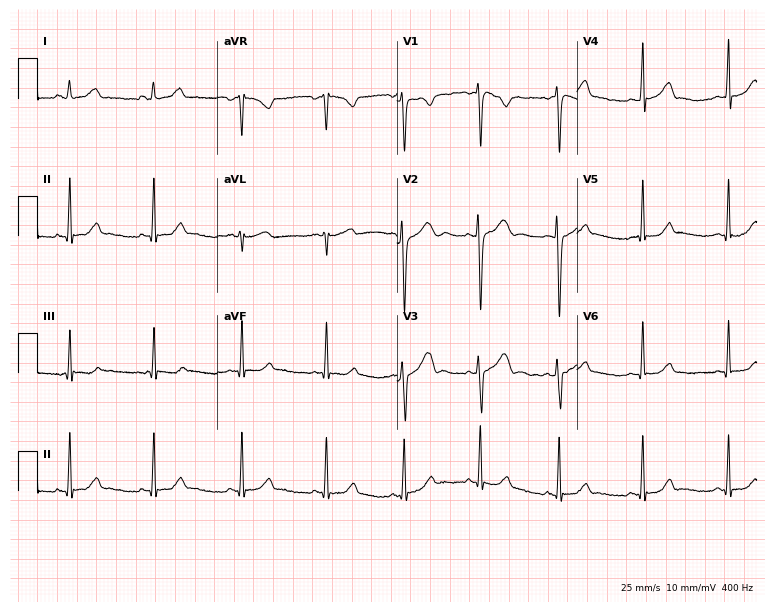
Electrocardiogram, a 23-year-old female. Overall reading on record: normal ECG.